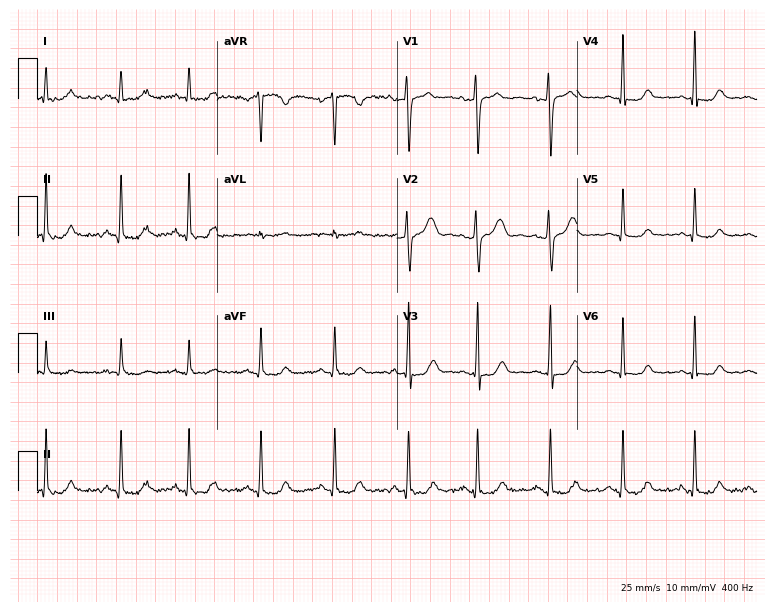
12-lead ECG from a woman, 35 years old (7.3-second recording at 400 Hz). Recorded interpretation: within normal limits.